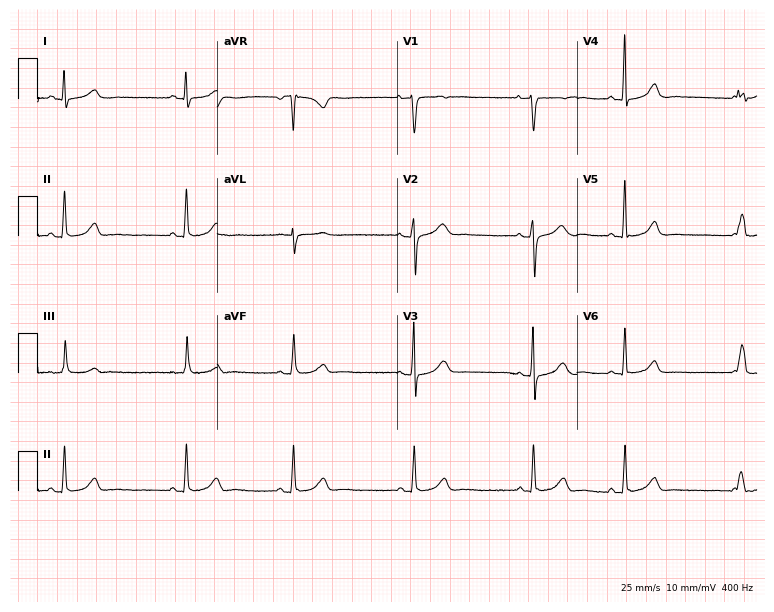
Electrocardiogram (7.3-second recording at 400 Hz), a female patient, 32 years old. Overall reading on record: normal ECG.